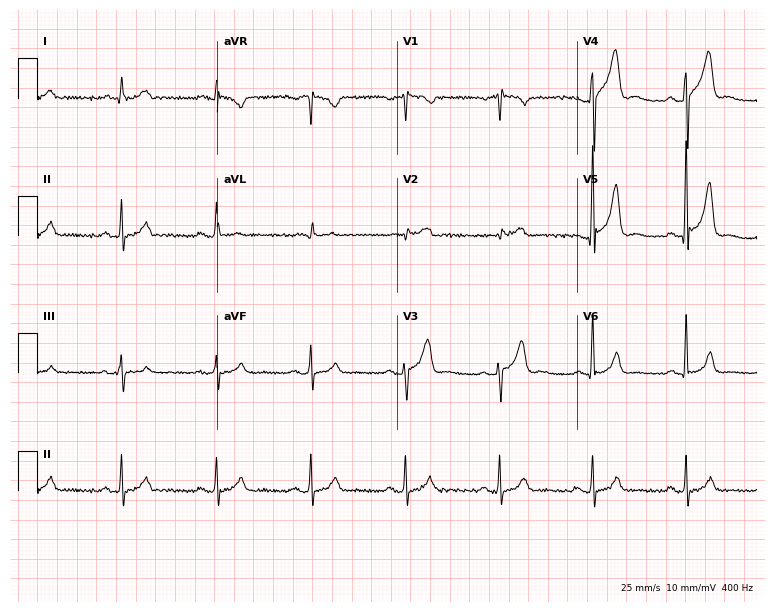
12-lead ECG (7.3-second recording at 400 Hz) from a 56-year-old male. Screened for six findings — first-degree AV block, right bundle branch block, left bundle branch block, sinus bradycardia, atrial fibrillation, sinus tachycardia — none is recorded.